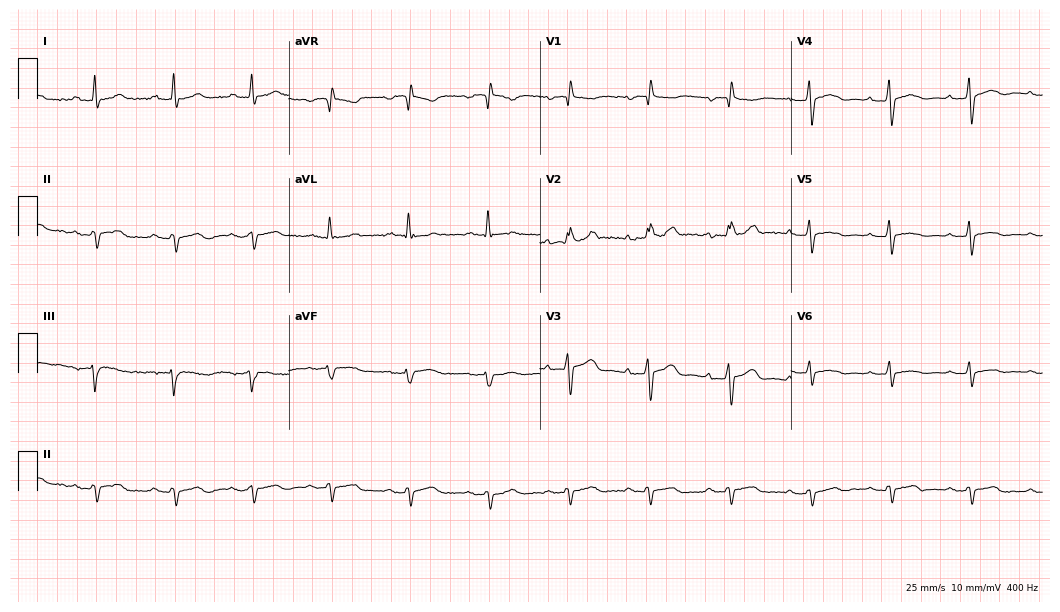
12-lead ECG from a man, 56 years old. No first-degree AV block, right bundle branch block, left bundle branch block, sinus bradycardia, atrial fibrillation or sinus tachycardia recorded for this tracing. Other findings, if any, are not listed.